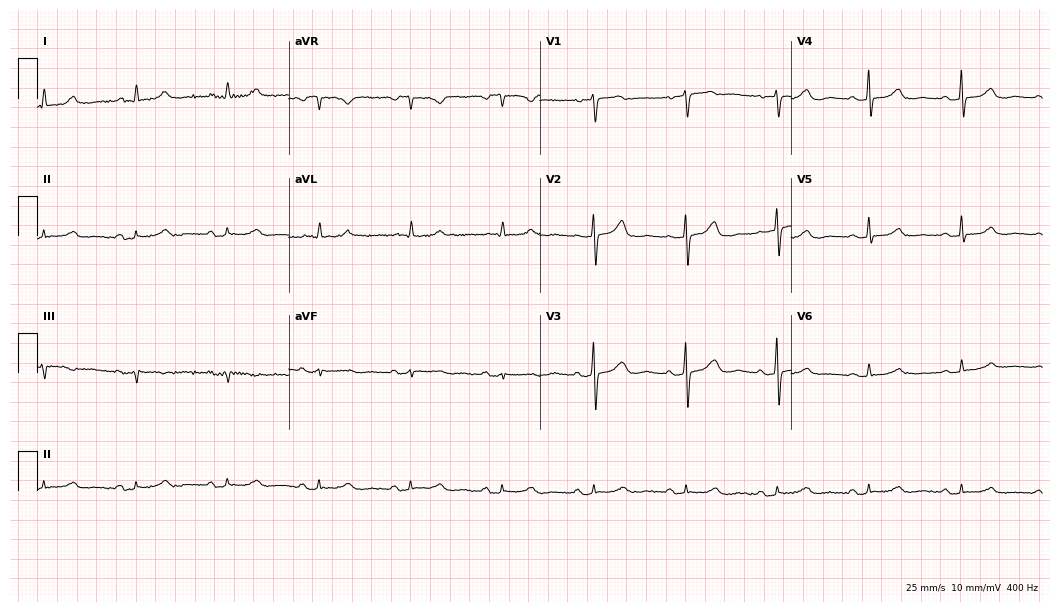
Resting 12-lead electrocardiogram (10.2-second recording at 400 Hz). Patient: a 73-year-old female. None of these six findings is recorded: first-degree AV block, right bundle branch block, left bundle branch block, sinus bradycardia, atrial fibrillation, sinus tachycardia.